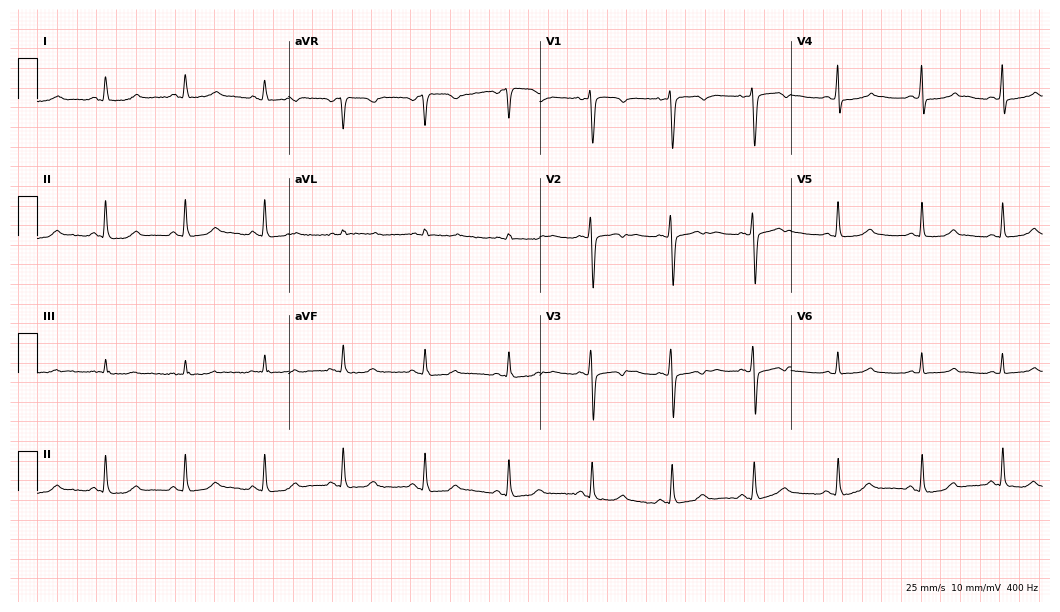
12-lead ECG (10.2-second recording at 400 Hz) from a female patient, 40 years old. Screened for six findings — first-degree AV block, right bundle branch block, left bundle branch block, sinus bradycardia, atrial fibrillation, sinus tachycardia — none is recorded.